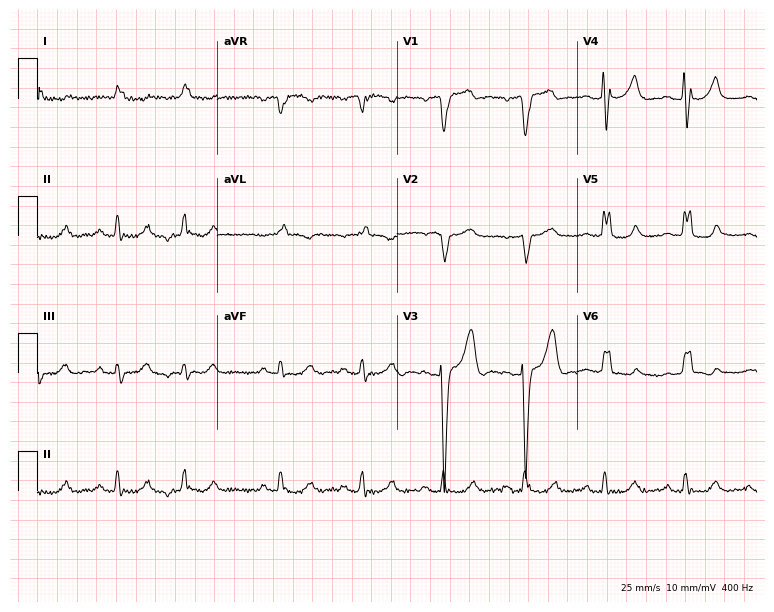
12-lead ECG from a male, 83 years old (7.3-second recording at 400 Hz). Shows left bundle branch block (LBBB).